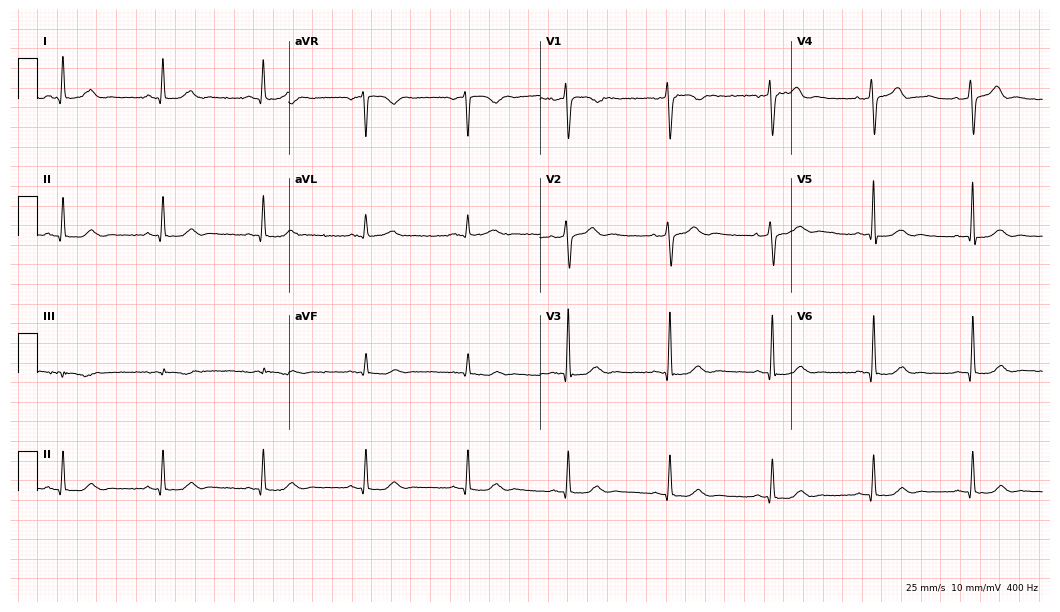
Resting 12-lead electrocardiogram (10.2-second recording at 400 Hz). Patient: a 55-year-old man. None of these six findings is recorded: first-degree AV block, right bundle branch block (RBBB), left bundle branch block (LBBB), sinus bradycardia, atrial fibrillation (AF), sinus tachycardia.